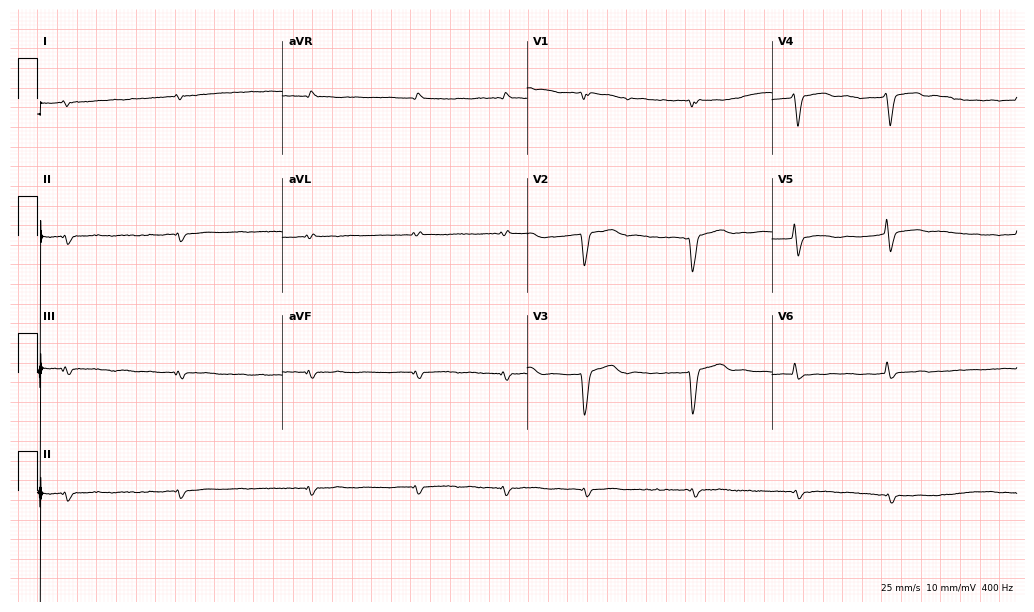
12-lead ECG from a 70-year-old male. No first-degree AV block, right bundle branch block, left bundle branch block, sinus bradycardia, atrial fibrillation or sinus tachycardia recorded for this tracing.